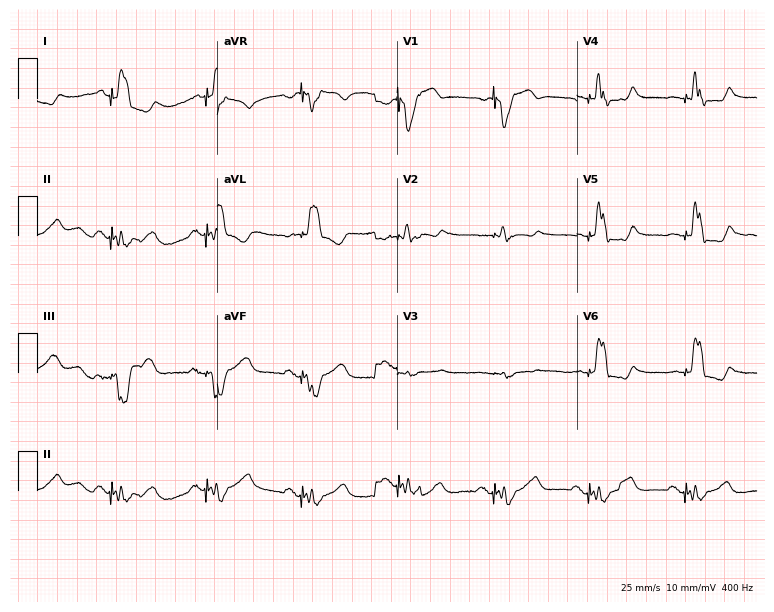
Standard 12-lead ECG recorded from a 73-year-old male (7.3-second recording at 400 Hz). None of these six findings is recorded: first-degree AV block, right bundle branch block (RBBB), left bundle branch block (LBBB), sinus bradycardia, atrial fibrillation (AF), sinus tachycardia.